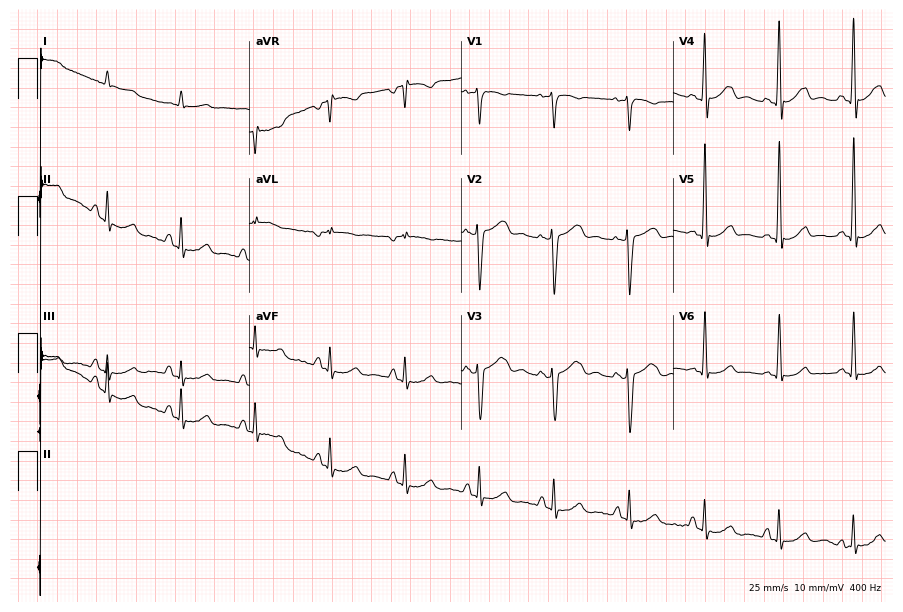
Resting 12-lead electrocardiogram. Patient: a male, 62 years old. None of these six findings is recorded: first-degree AV block, right bundle branch block, left bundle branch block, sinus bradycardia, atrial fibrillation, sinus tachycardia.